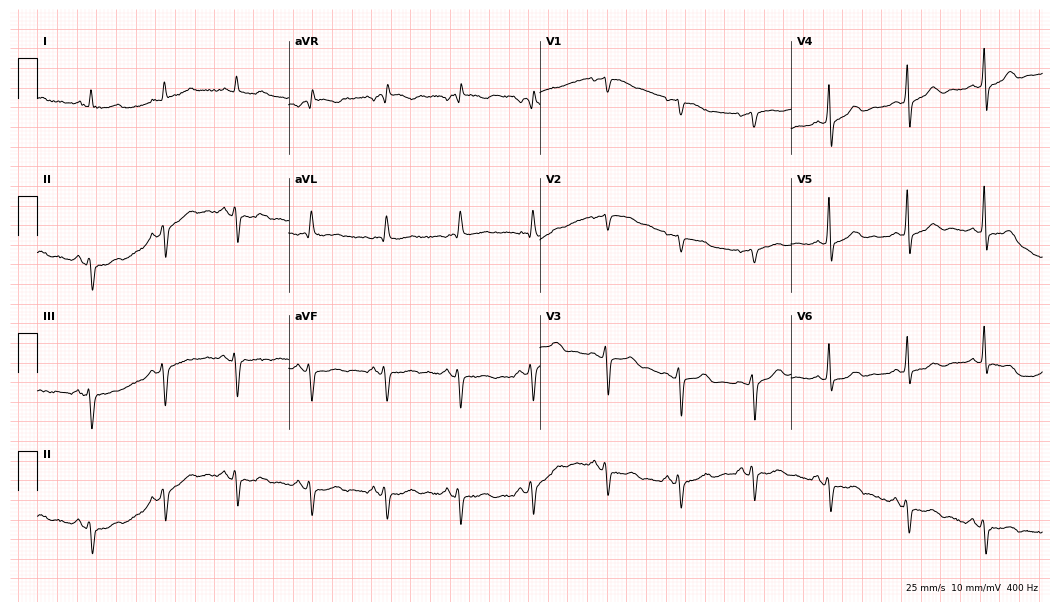
12-lead ECG from a woman, 58 years old. No first-degree AV block, right bundle branch block, left bundle branch block, sinus bradycardia, atrial fibrillation or sinus tachycardia recorded for this tracing.